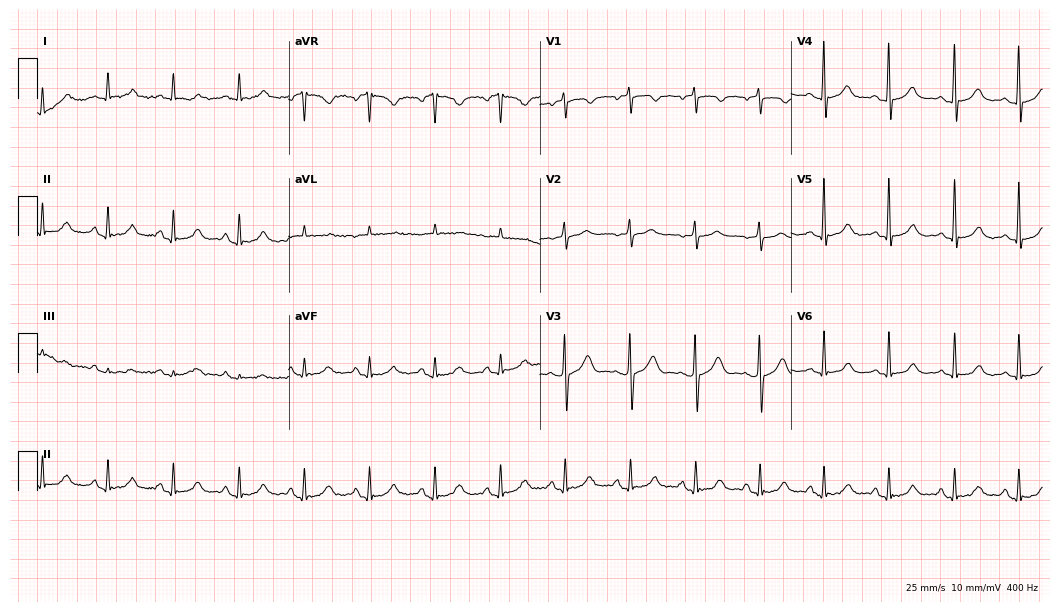
12-lead ECG from a 62-year-old female patient. Recorded interpretation: within normal limits.